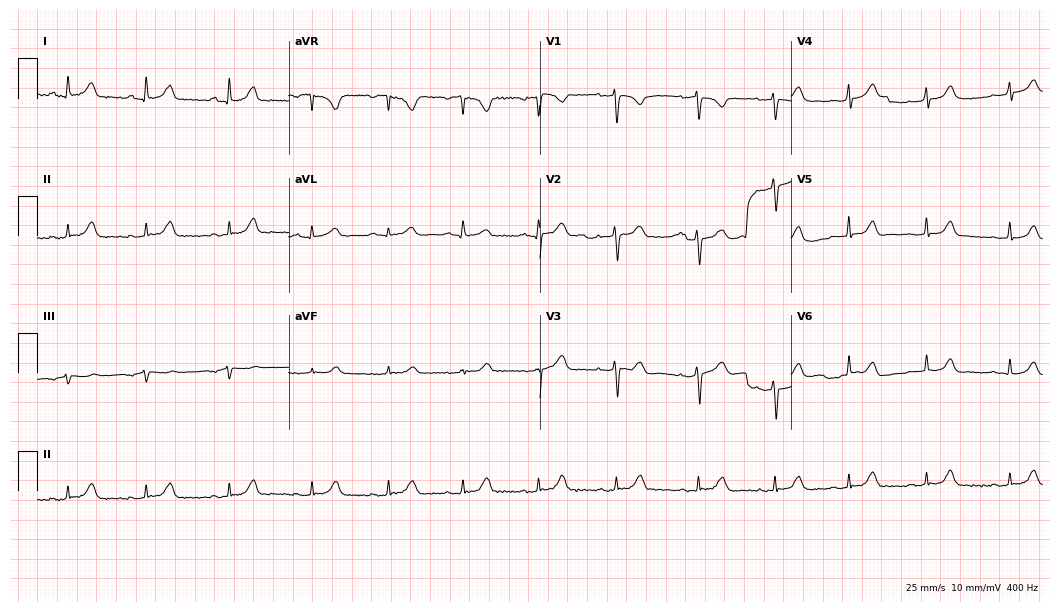
Standard 12-lead ECG recorded from a woman, 44 years old (10.2-second recording at 400 Hz). Read as a normal ECG.